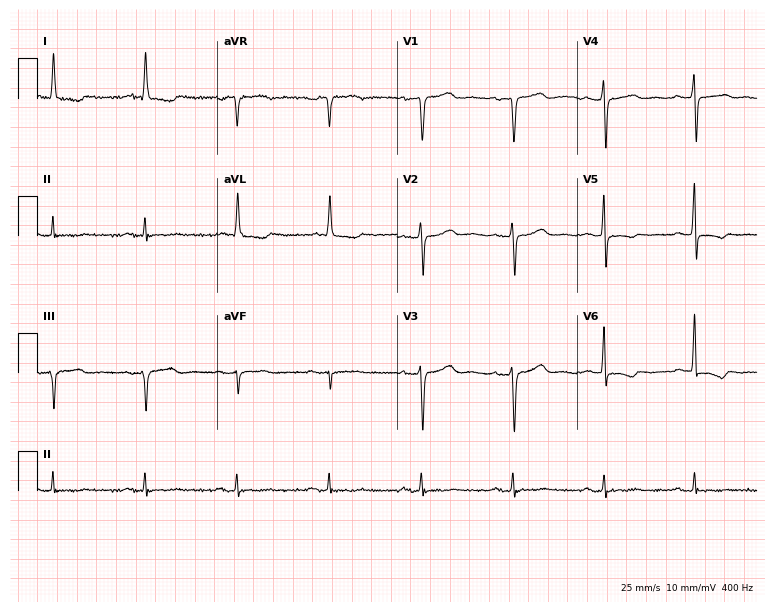
Standard 12-lead ECG recorded from a 67-year-old female. None of these six findings is recorded: first-degree AV block, right bundle branch block, left bundle branch block, sinus bradycardia, atrial fibrillation, sinus tachycardia.